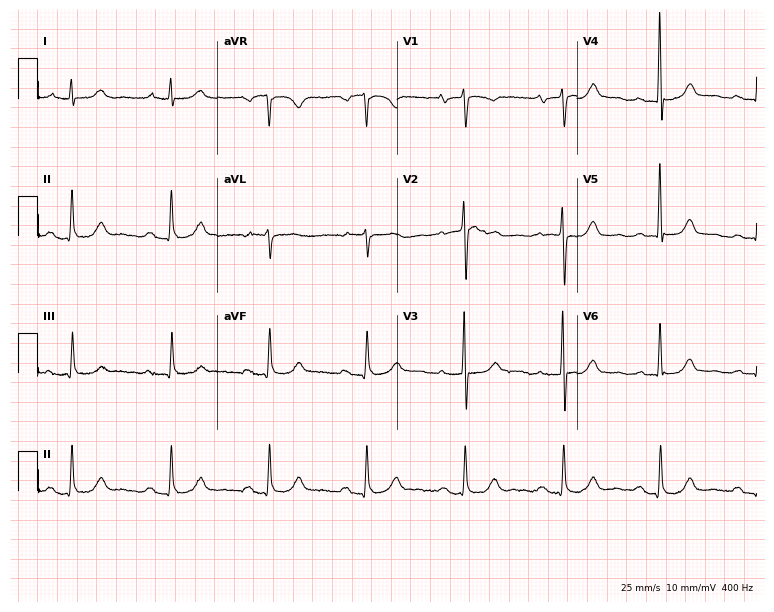
Electrocardiogram (7.3-second recording at 400 Hz), a 71-year-old woman. Interpretation includes first-degree AV block.